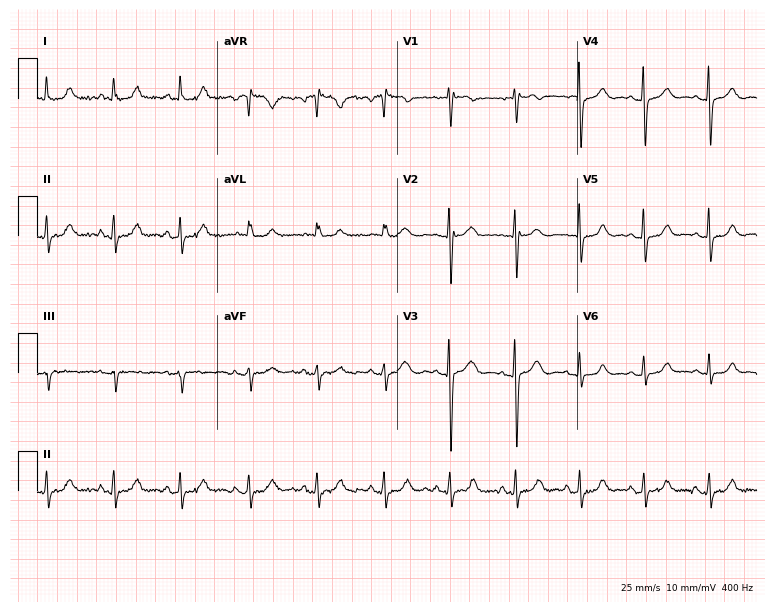
Electrocardiogram, a woman, 64 years old. Of the six screened findings (first-degree AV block, right bundle branch block (RBBB), left bundle branch block (LBBB), sinus bradycardia, atrial fibrillation (AF), sinus tachycardia), none is recorded. Other findings, if any, are not listed.